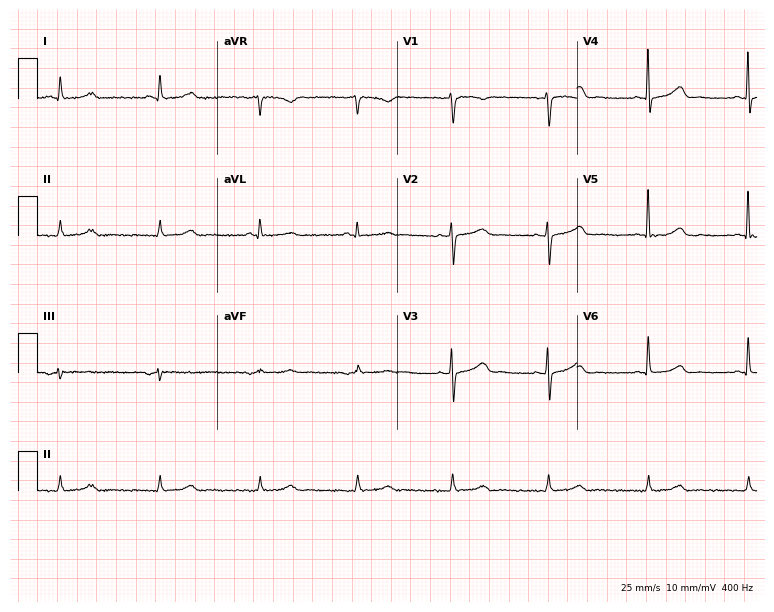
12-lead ECG from a 64-year-old woman. Recorded interpretation: within normal limits.